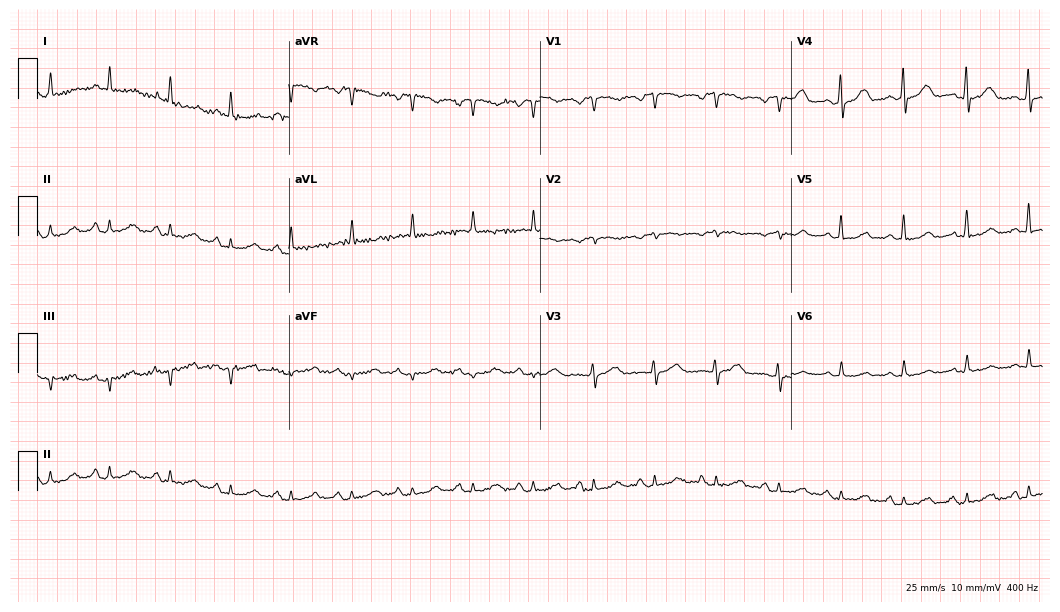
12-lead ECG from a female patient, 82 years old. Labelled as a normal ECG.